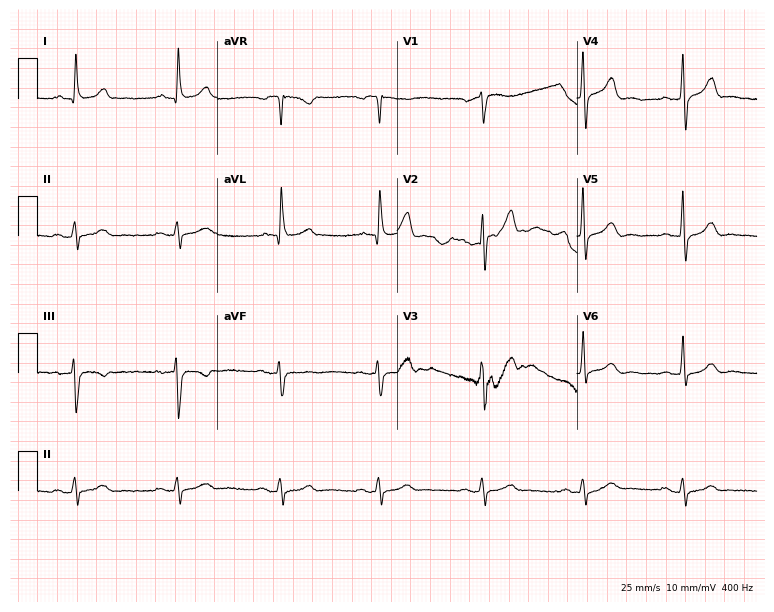
Electrocardiogram (7.3-second recording at 400 Hz), a 68-year-old man. Of the six screened findings (first-degree AV block, right bundle branch block, left bundle branch block, sinus bradycardia, atrial fibrillation, sinus tachycardia), none is recorded. Only these six findings were labelled.